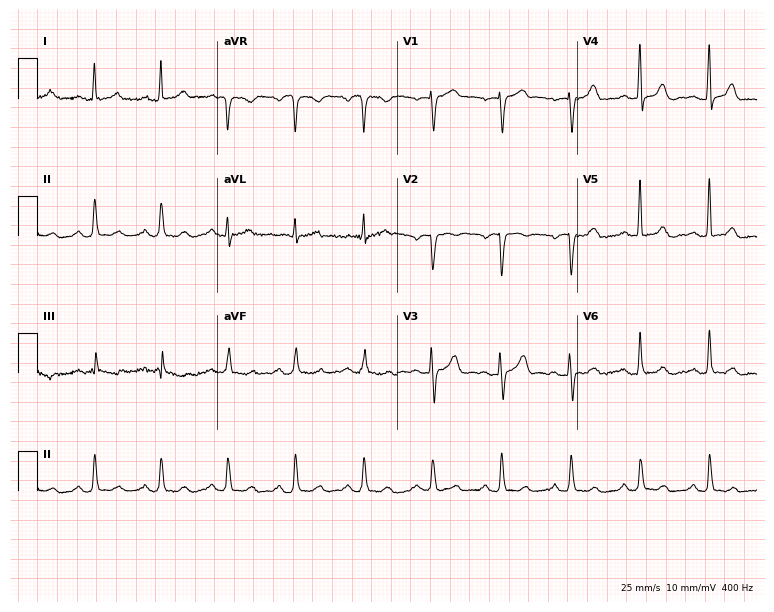
12-lead ECG from a 58-year-old male patient. No first-degree AV block, right bundle branch block, left bundle branch block, sinus bradycardia, atrial fibrillation or sinus tachycardia recorded for this tracing.